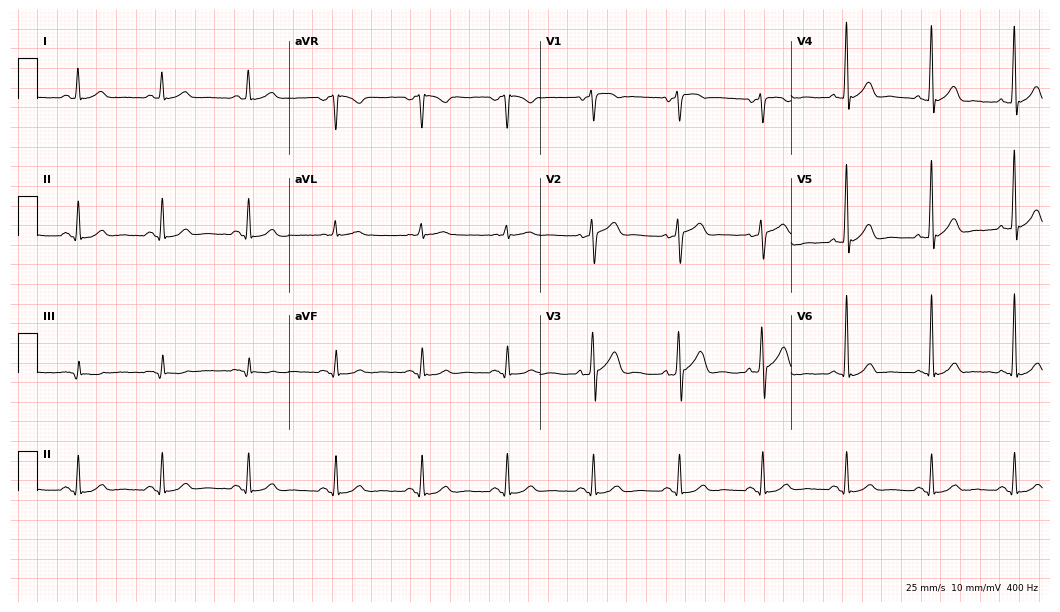
12-lead ECG from a 51-year-old man (10.2-second recording at 400 Hz). Recorded interpretation: within normal limits.